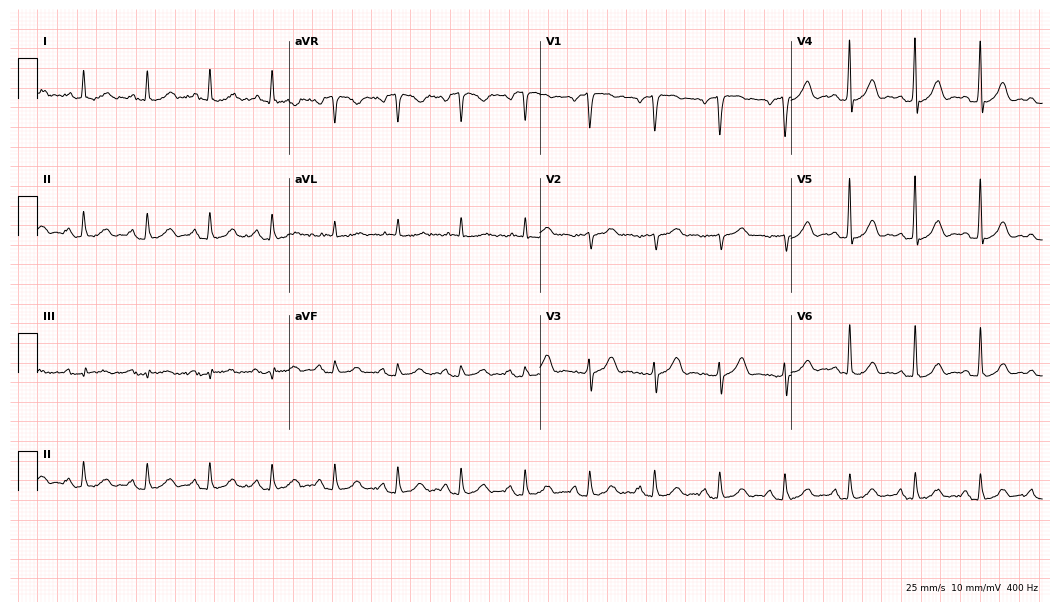
ECG — a 74-year-old male patient. Screened for six findings — first-degree AV block, right bundle branch block (RBBB), left bundle branch block (LBBB), sinus bradycardia, atrial fibrillation (AF), sinus tachycardia — none is recorded.